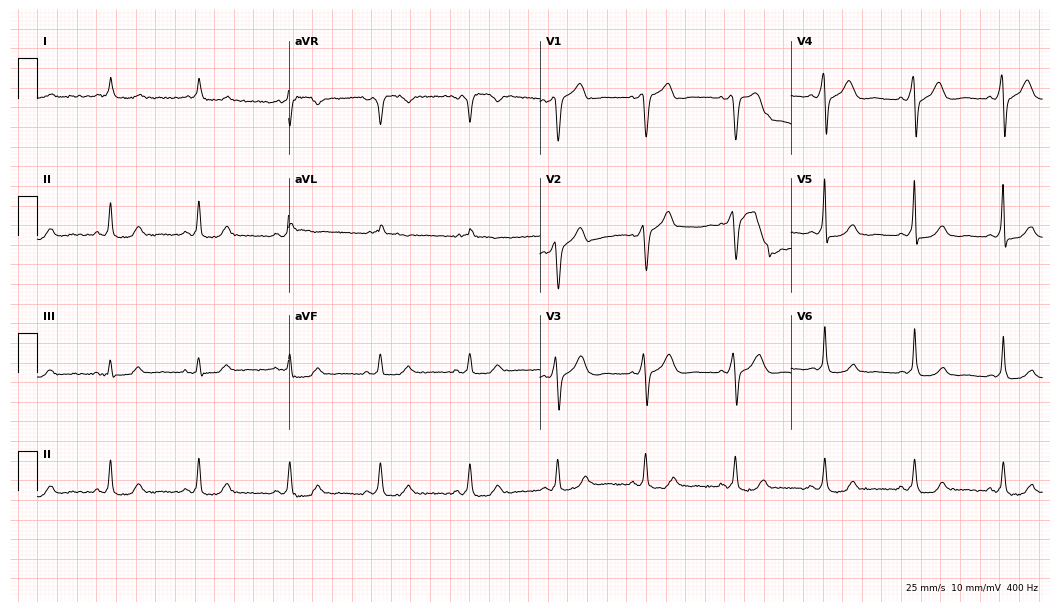
12-lead ECG (10.2-second recording at 400 Hz) from a male, 60 years old. Screened for six findings — first-degree AV block, right bundle branch block, left bundle branch block, sinus bradycardia, atrial fibrillation, sinus tachycardia — none is recorded.